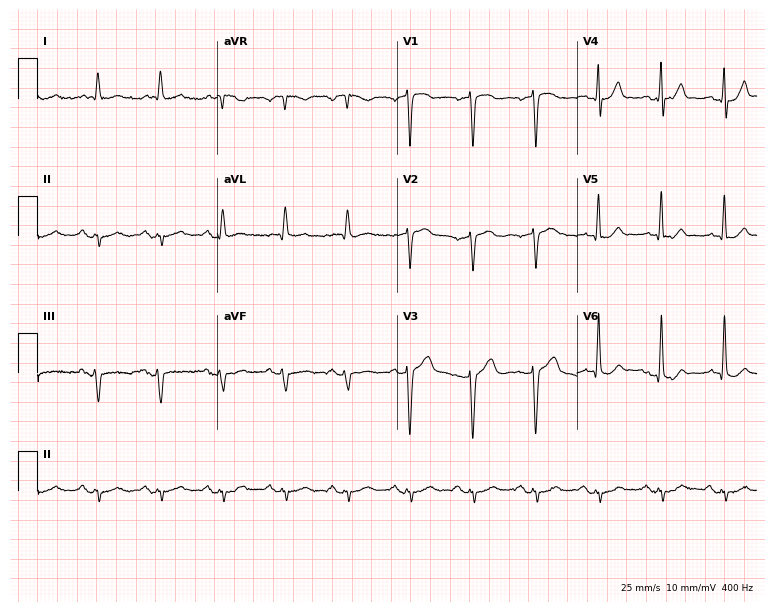
Electrocardiogram (7.3-second recording at 400 Hz), a male patient, 79 years old. Of the six screened findings (first-degree AV block, right bundle branch block (RBBB), left bundle branch block (LBBB), sinus bradycardia, atrial fibrillation (AF), sinus tachycardia), none is recorded.